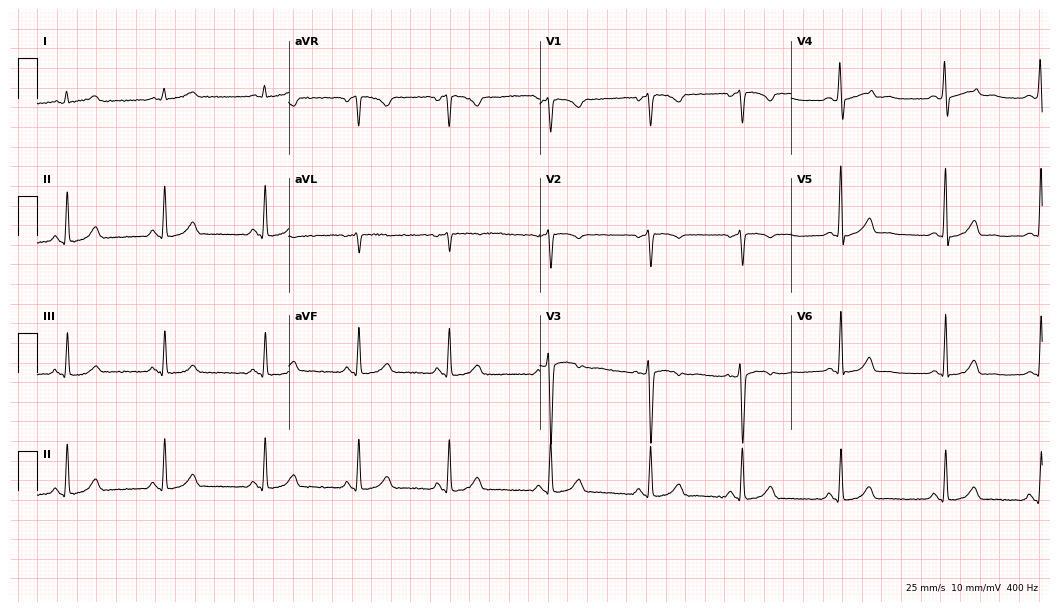
ECG (10.2-second recording at 400 Hz) — a female, 32 years old. Labelled as a normal ECG.